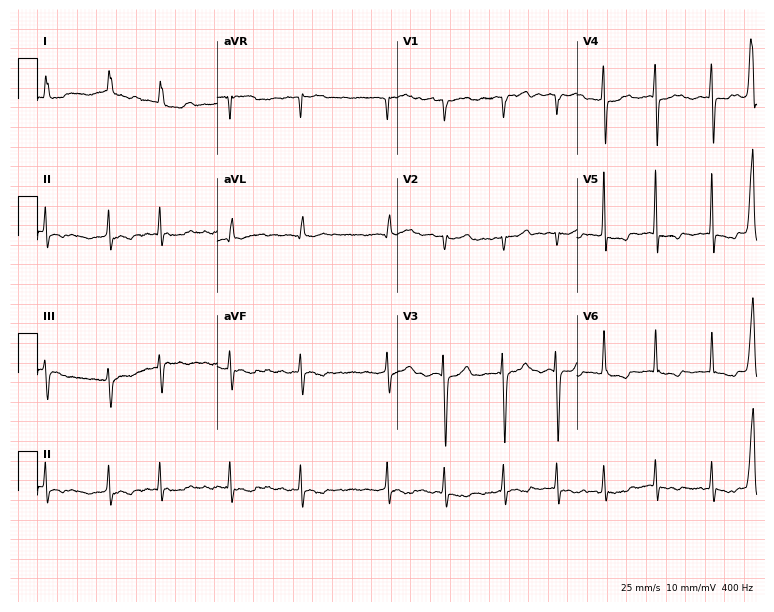
Standard 12-lead ECG recorded from an 84-year-old female (7.3-second recording at 400 Hz). The tracing shows atrial fibrillation (AF).